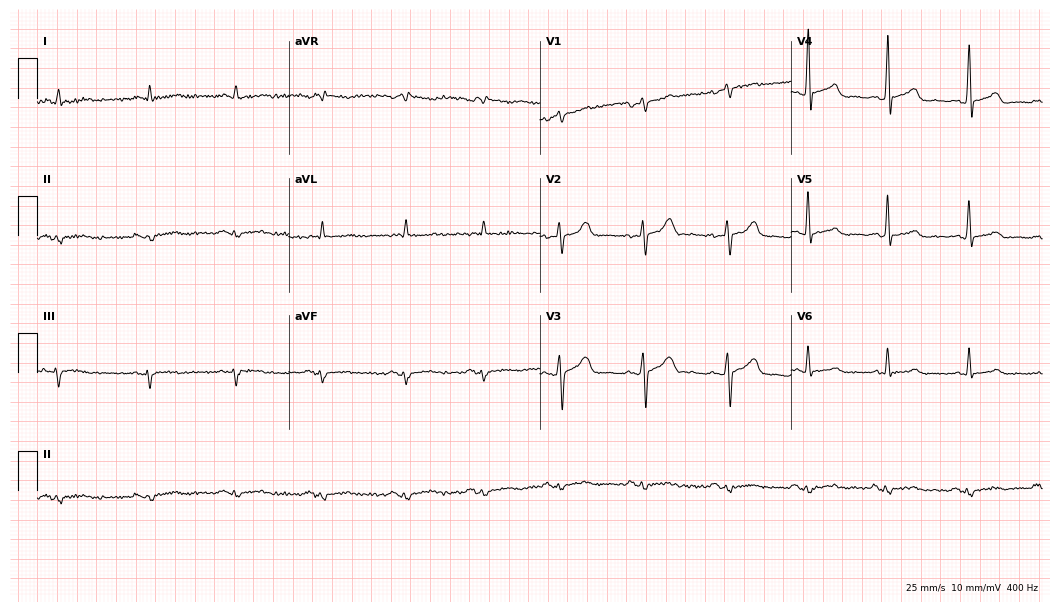
12-lead ECG from a 28-year-old man. No first-degree AV block, right bundle branch block (RBBB), left bundle branch block (LBBB), sinus bradycardia, atrial fibrillation (AF) or sinus tachycardia recorded for this tracing. Other findings, if any, are not listed.